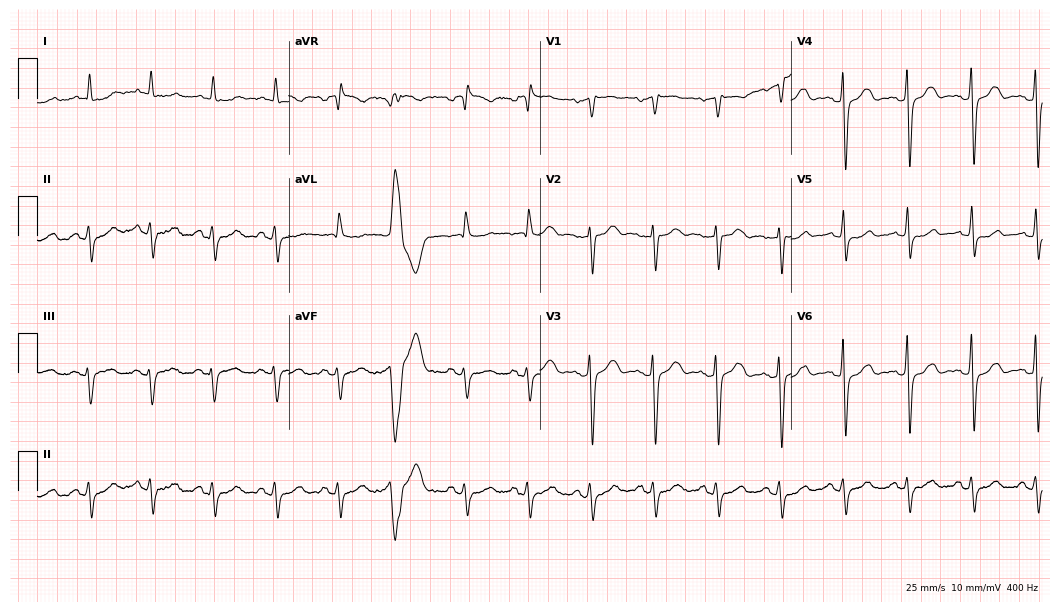
Standard 12-lead ECG recorded from an 83-year-old male (10.2-second recording at 400 Hz). None of these six findings is recorded: first-degree AV block, right bundle branch block (RBBB), left bundle branch block (LBBB), sinus bradycardia, atrial fibrillation (AF), sinus tachycardia. Findings outside these six are not listed.